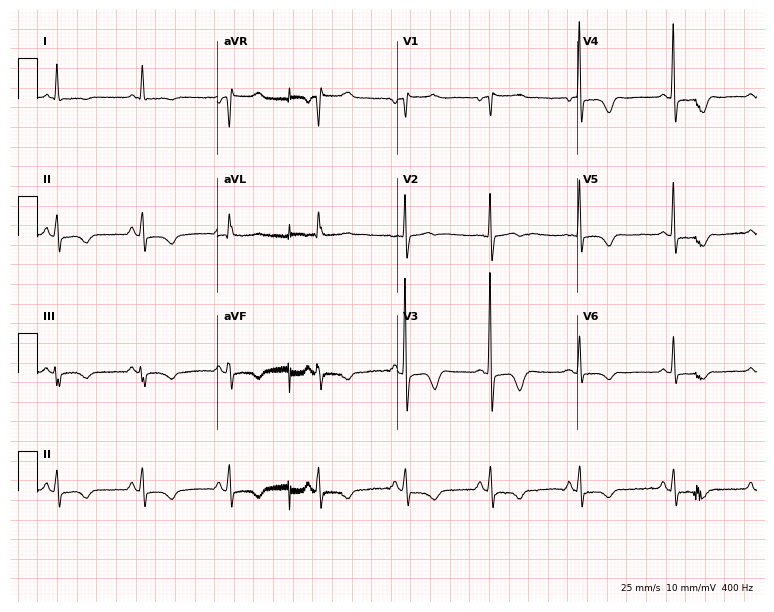
Standard 12-lead ECG recorded from a female patient, 72 years old. None of these six findings is recorded: first-degree AV block, right bundle branch block, left bundle branch block, sinus bradycardia, atrial fibrillation, sinus tachycardia.